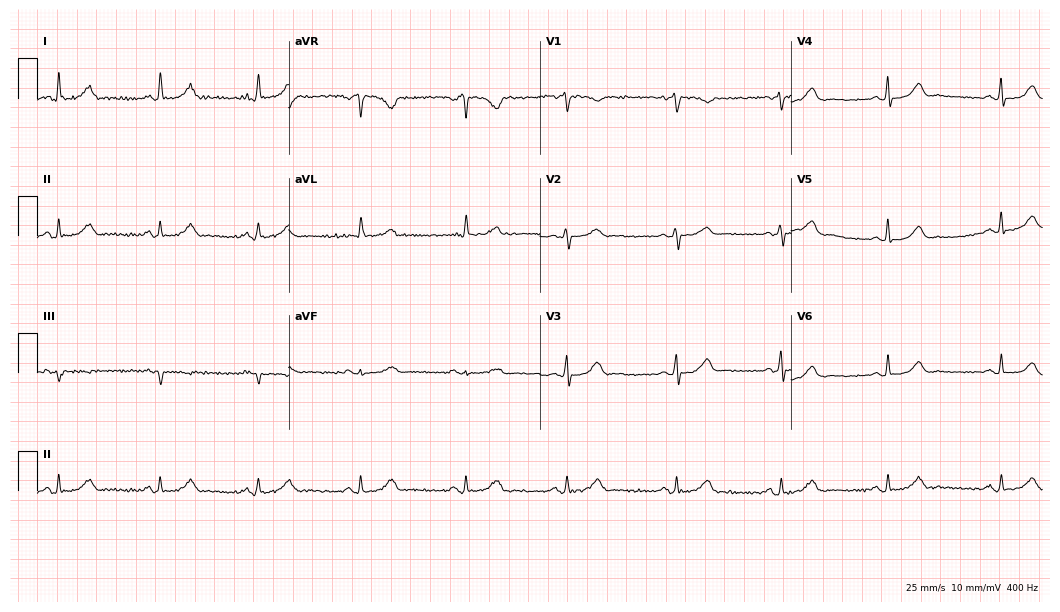
12-lead ECG (10.2-second recording at 400 Hz) from a female, 66 years old. Labelled as a normal ECG.